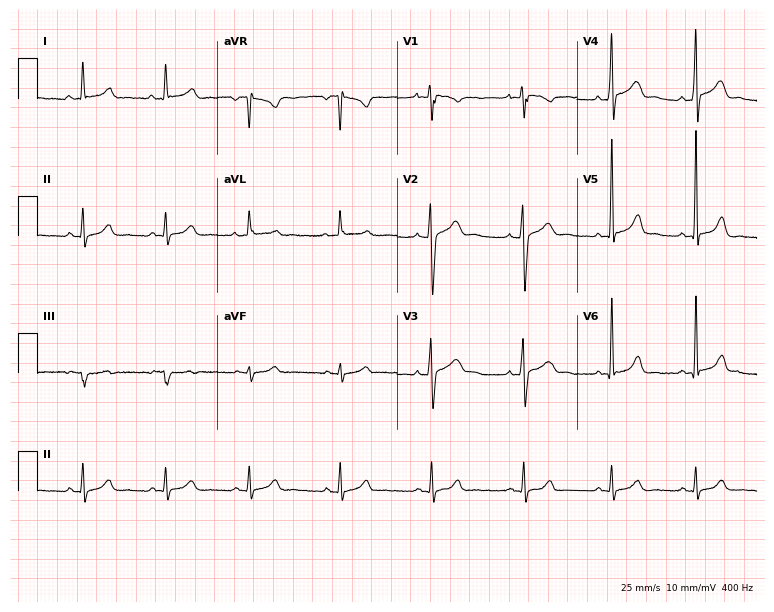
Electrocardiogram (7.3-second recording at 400 Hz), a male patient, 31 years old. Overall reading on record: normal ECG.